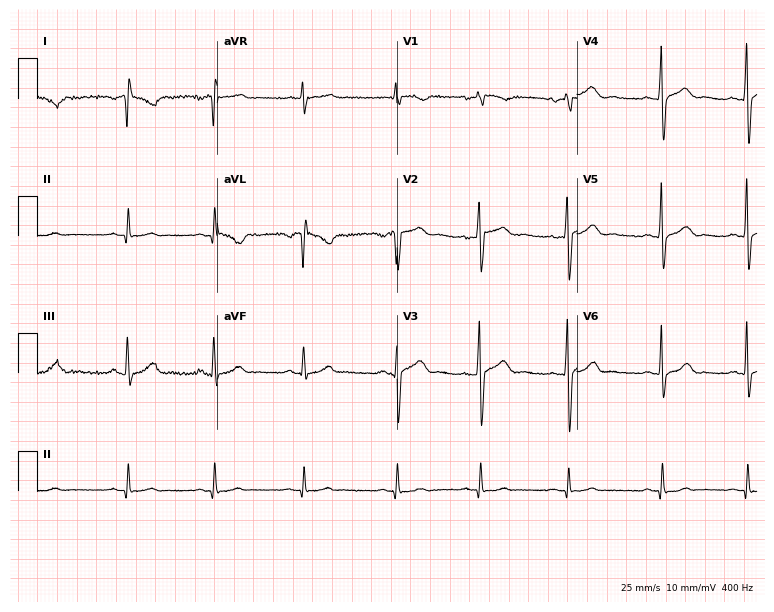
12-lead ECG from a 31-year-old female patient (7.3-second recording at 400 Hz). Recorded interpretation: within normal limits.